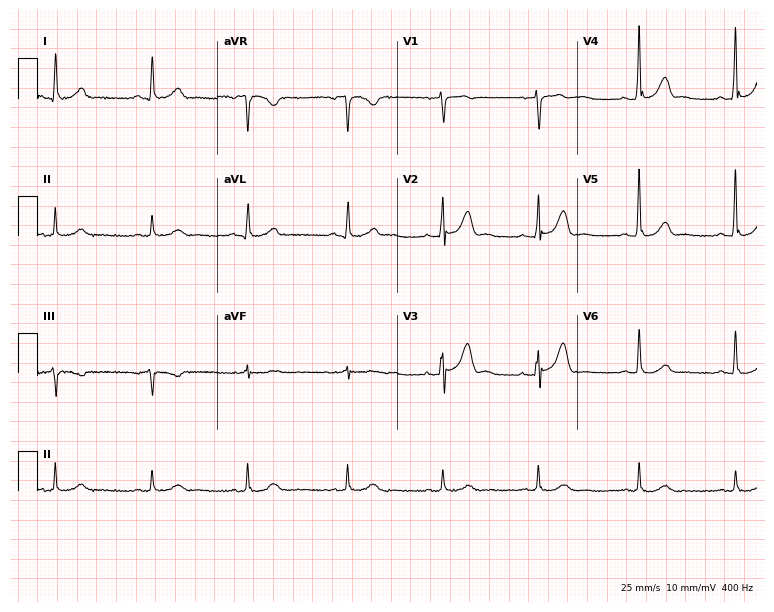
Electrocardiogram (7.3-second recording at 400 Hz), a 63-year-old man. Overall reading on record: normal ECG.